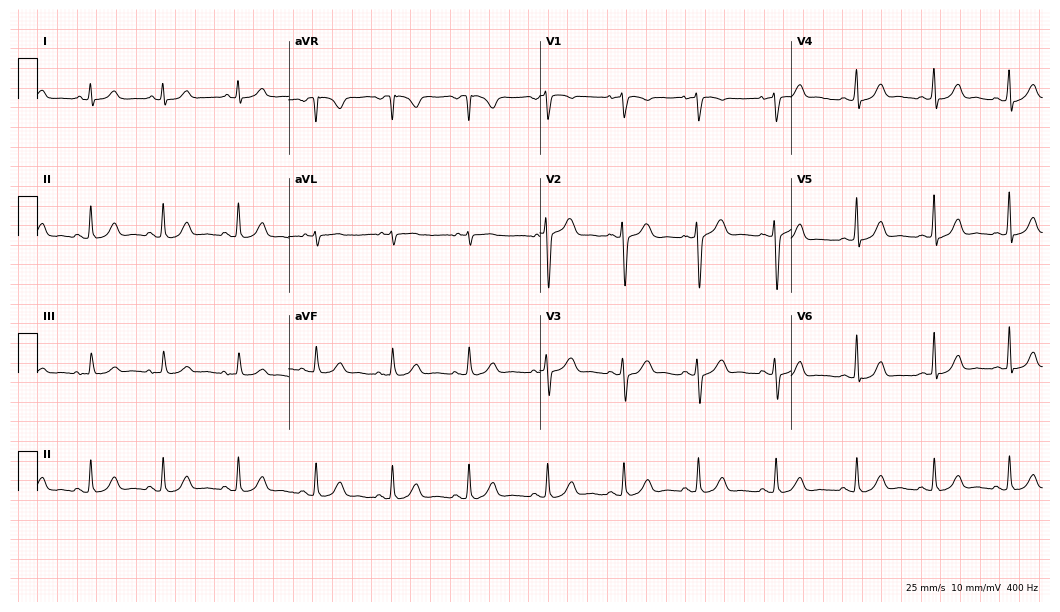
Electrocardiogram, a female, 35 years old. Of the six screened findings (first-degree AV block, right bundle branch block (RBBB), left bundle branch block (LBBB), sinus bradycardia, atrial fibrillation (AF), sinus tachycardia), none is recorded.